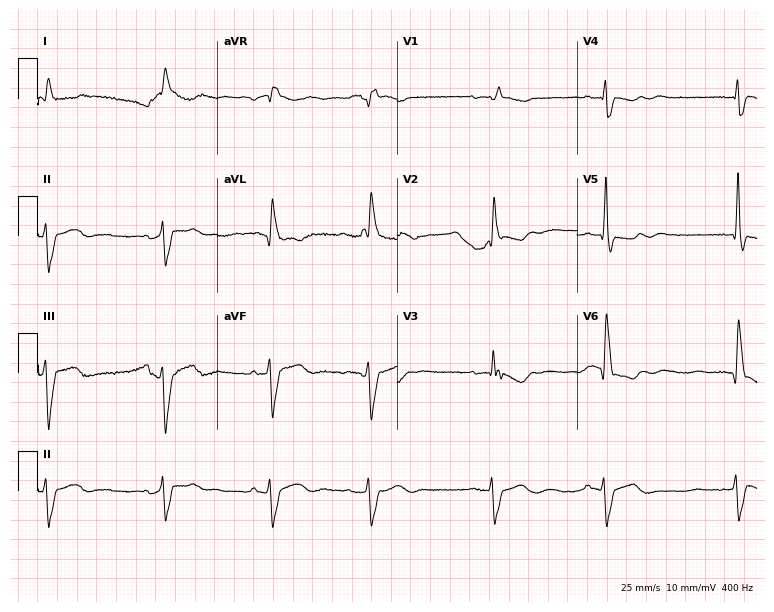
12-lead ECG from an 83-year-old female. Screened for six findings — first-degree AV block, right bundle branch block, left bundle branch block, sinus bradycardia, atrial fibrillation, sinus tachycardia — none is recorded.